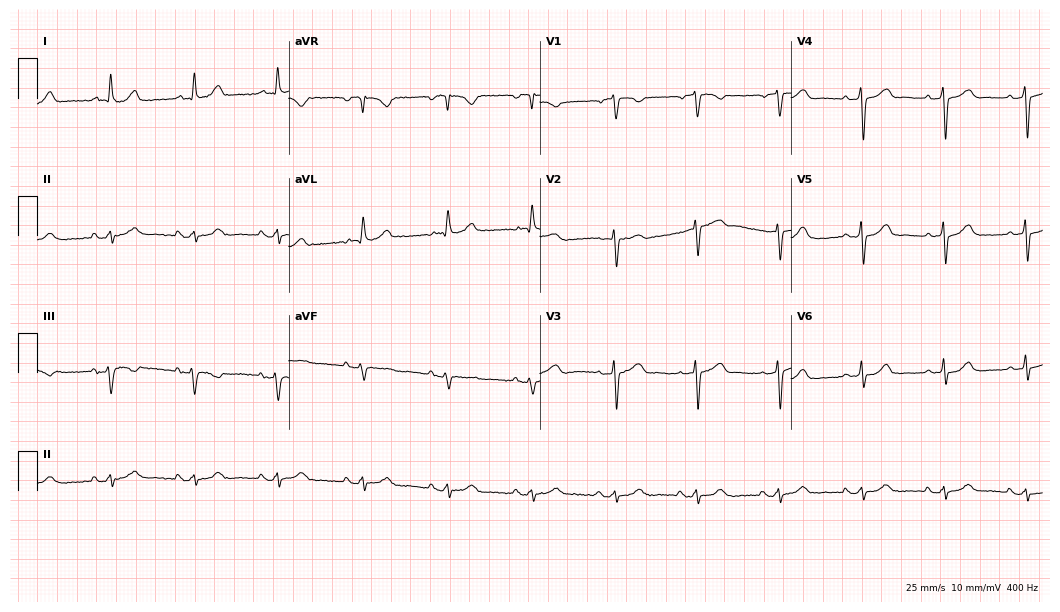
Electrocardiogram (10.2-second recording at 400 Hz), a woman, 64 years old. Of the six screened findings (first-degree AV block, right bundle branch block (RBBB), left bundle branch block (LBBB), sinus bradycardia, atrial fibrillation (AF), sinus tachycardia), none is recorded. Other findings, if any, are not listed.